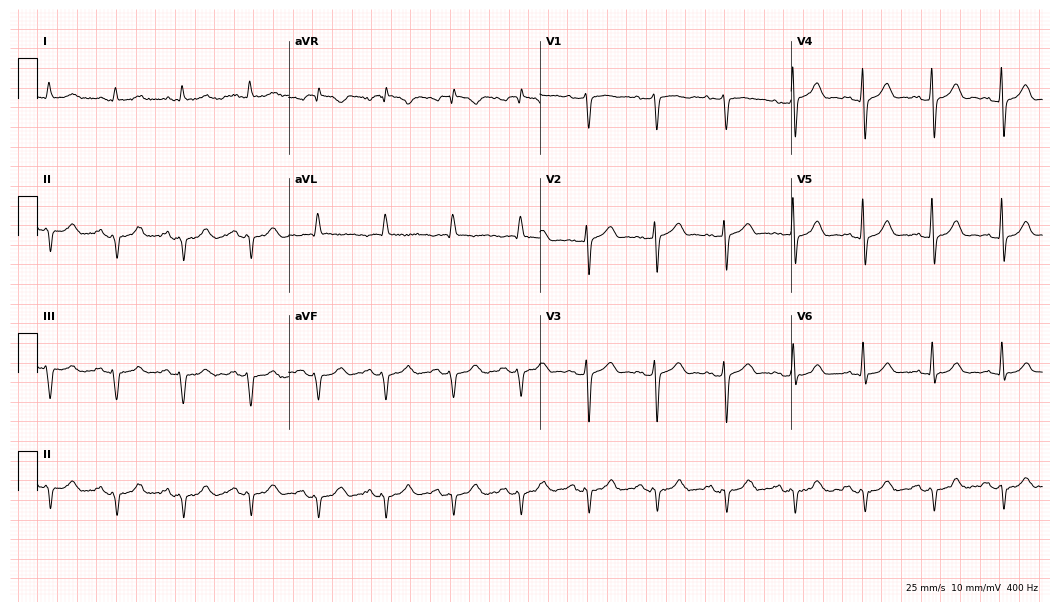
Electrocardiogram (10.2-second recording at 400 Hz), a male, 66 years old. Of the six screened findings (first-degree AV block, right bundle branch block, left bundle branch block, sinus bradycardia, atrial fibrillation, sinus tachycardia), none is recorded.